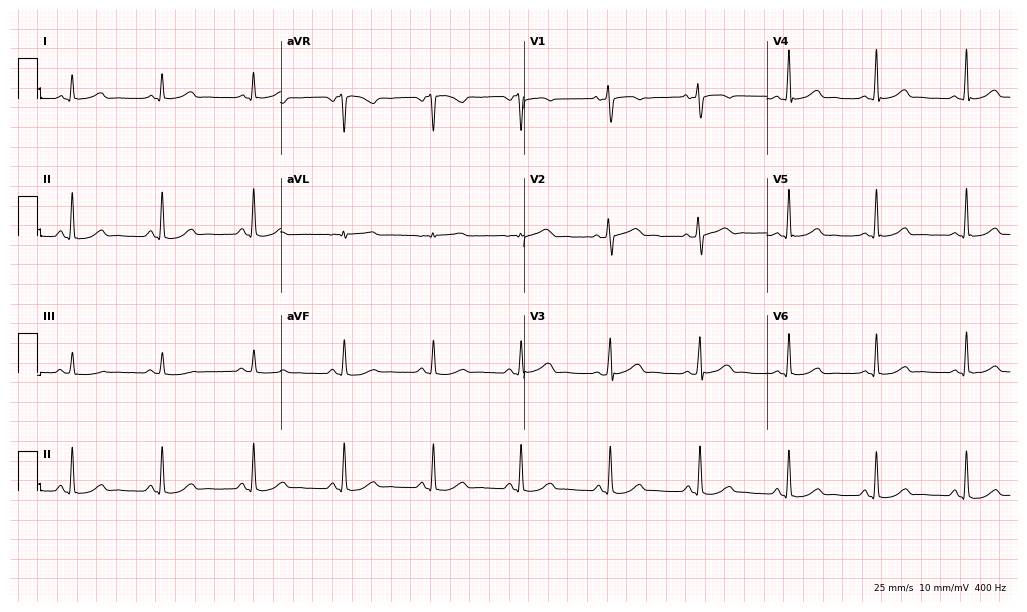
Resting 12-lead electrocardiogram. Patient: a 50-year-old woman. Read as a normal ECG.